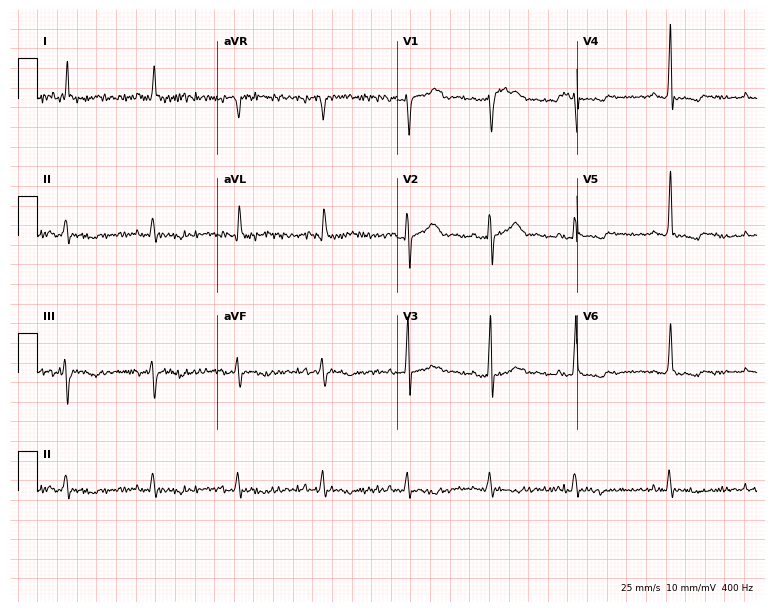
12-lead ECG (7.3-second recording at 400 Hz) from a male, 71 years old. Screened for six findings — first-degree AV block, right bundle branch block, left bundle branch block, sinus bradycardia, atrial fibrillation, sinus tachycardia — none is recorded. Other findings, if any, are not listed.